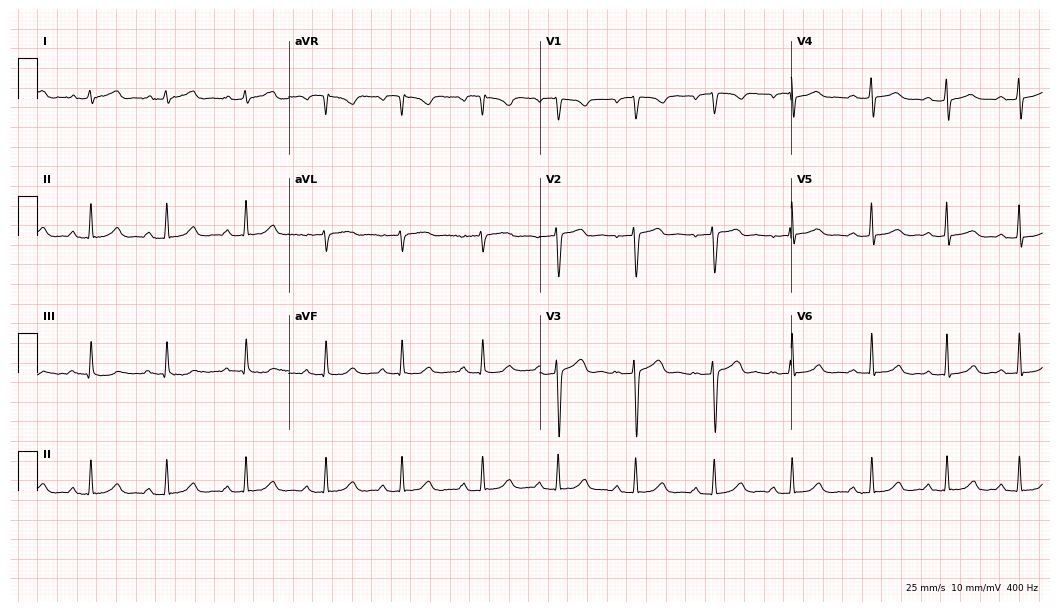
12-lead ECG from a female, 29 years old. Labelled as a normal ECG.